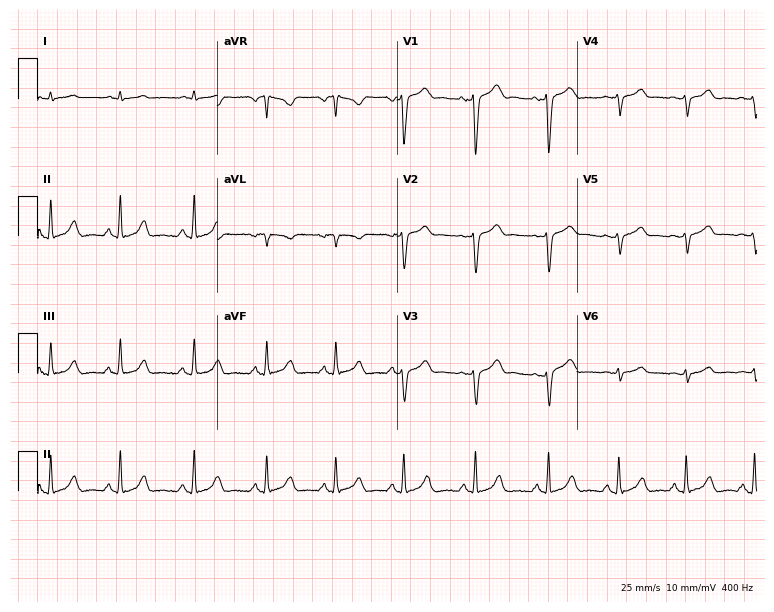
Resting 12-lead electrocardiogram (7.3-second recording at 400 Hz). Patient: an 18-year-old man. None of these six findings is recorded: first-degree AV block, right bundle branch block (RBBB), left bundle branch block (LBBB), sinus bradycardia, atrial fibrillation (AF), sinus tachycardia.